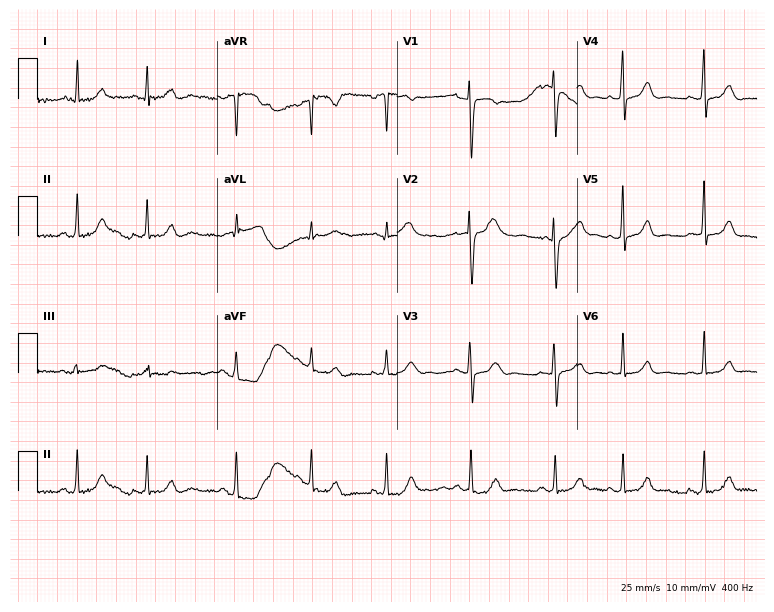
Electrocardiogram, a 17-year-old woman. Overall reading on record: normal ECG.